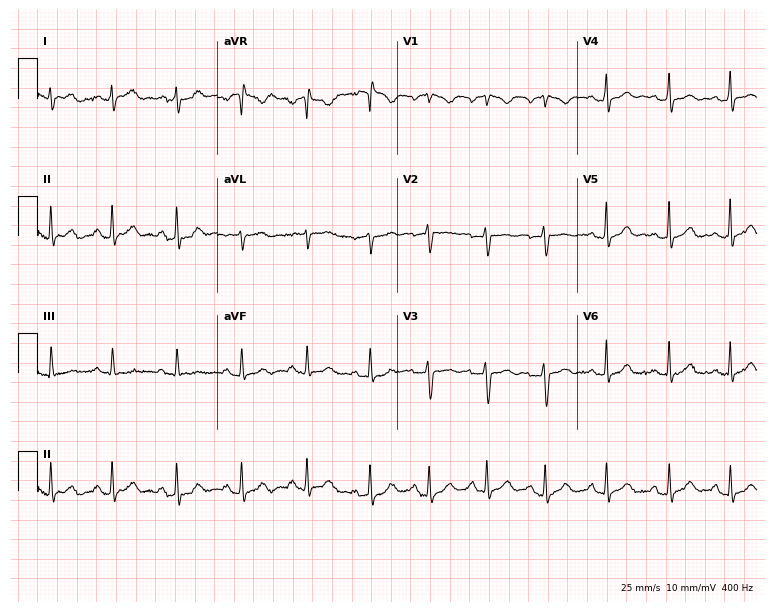
Electrocardiogram, a 23-year-old female patient. Overall reading on record: normal ECG.